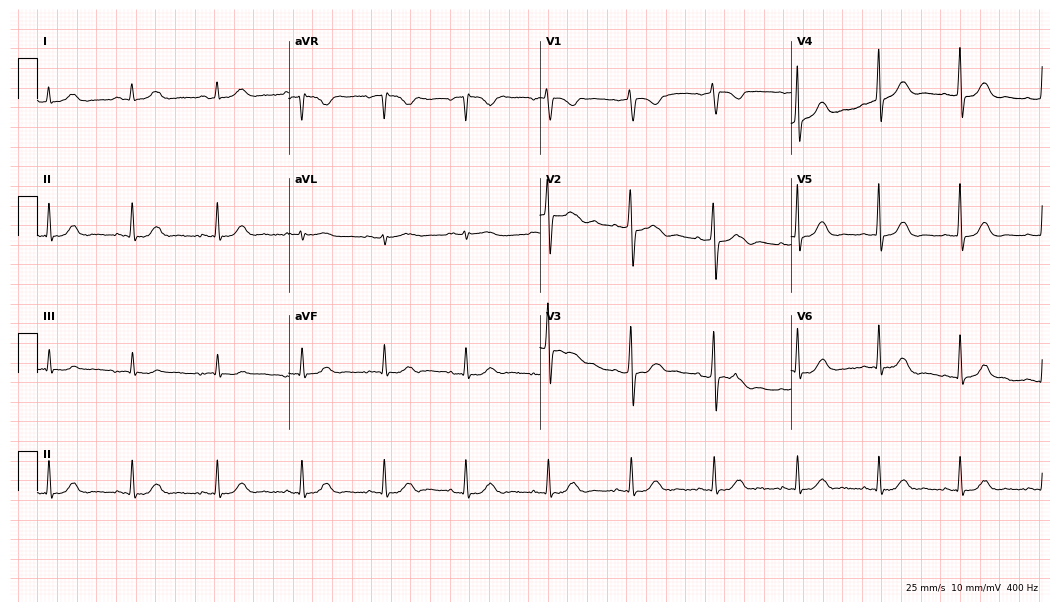
Resting 12-lead electrocardiogram (10.2-second recording at 400 Hz). Patient: a 34-year-old female. None of these six findings is recorded: first-degree AV block, right bundle branch block, left bundle branch block, sinus bradycardia, atrial fibrillation, sinus tachycardia. Only these six findings were labelled.